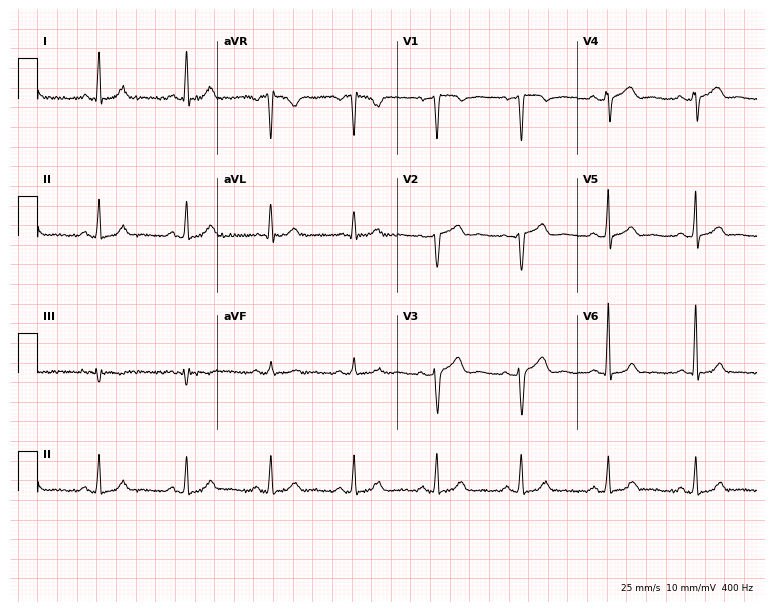
Electrocardiogram, a 46-year-old female. Of the six screened findings (first-degree AV block, right bundle branch block, left bundle branch block, sinus bradycardia, atrial fibrillation, sinus tachycardia), none is recorded. Findings outside these six are not listed.